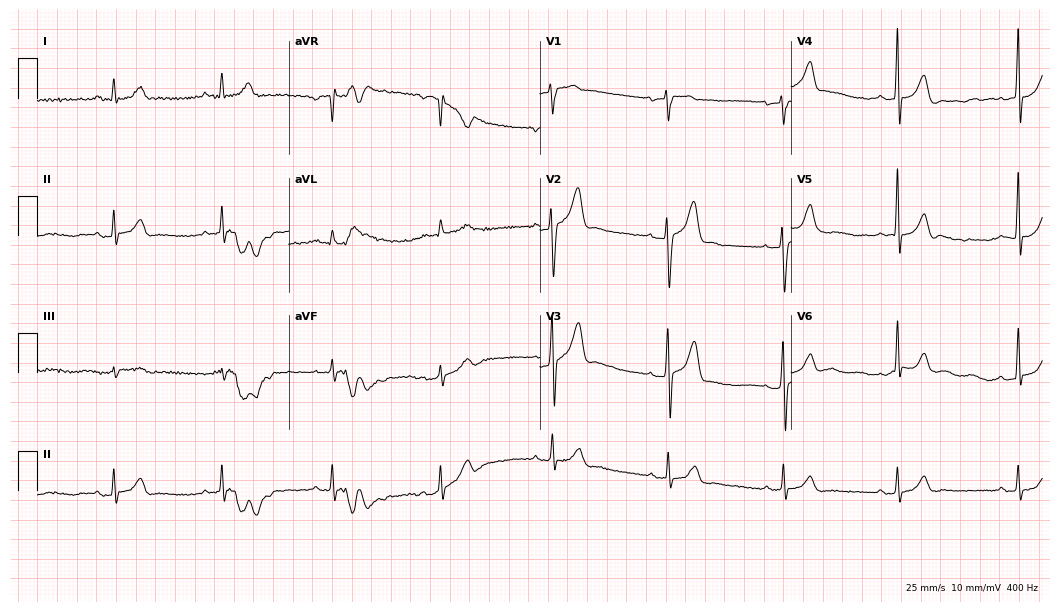
Electrocardiogram, a 40-year-old male. Of the six screened findings (first-degree AV block, right bundle branch block, left bundle branch block, sinus bradycardia, atrial fibrillation, sinus tachycardia), none is recorded.